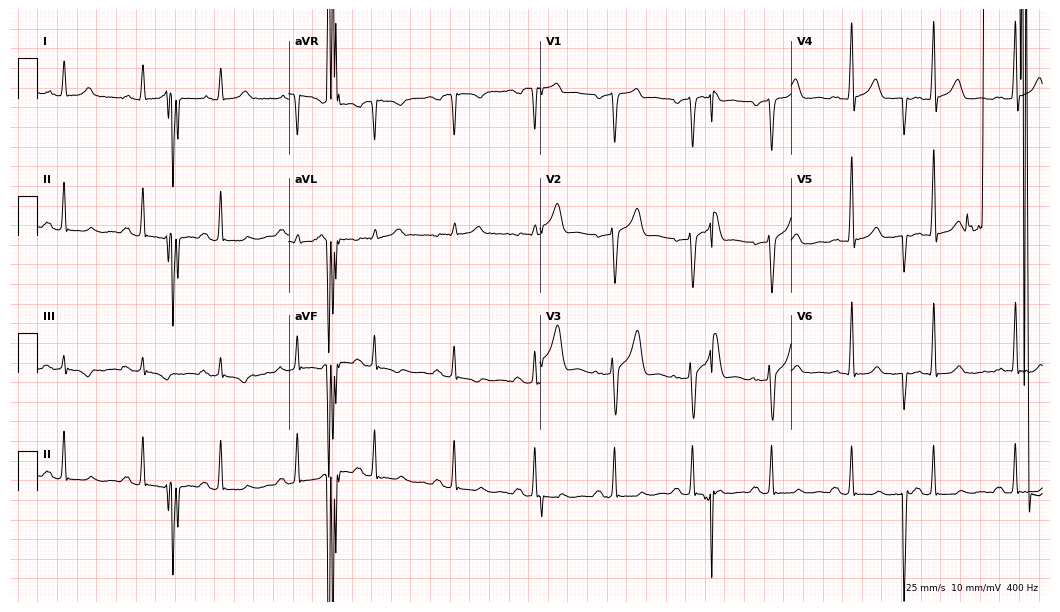
Resting 12-lead electrocardiogram (10.2-second recording at 400 Hz). Patient: a man, 59 years old. None of these six findings is recorded: first-degree AV block, right bundle branch block, left bundle branch block, sinus bradycardia, atrial fibrillation, sinus tachycardia.